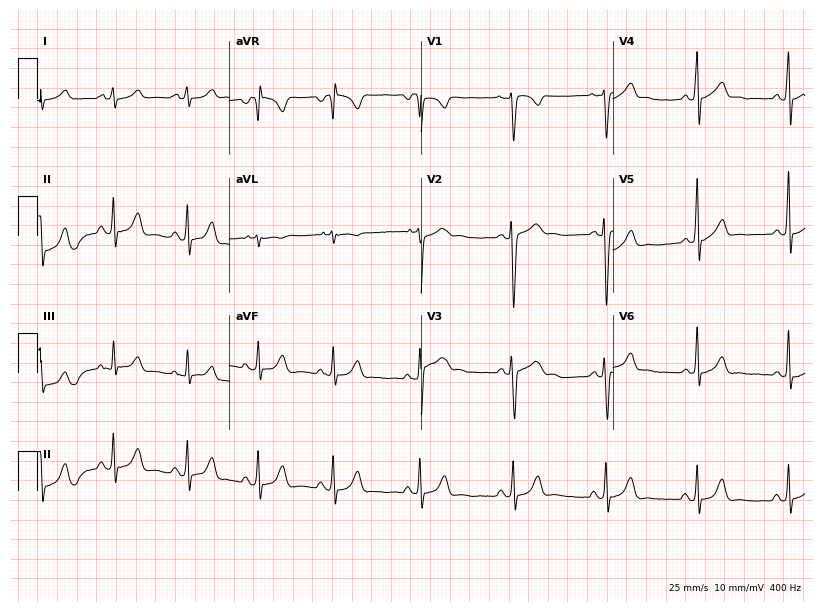
ECG (7.8-second recording at 400 Hz) — a 25-year-old male. Screened for six findings — first-degree AV block, right bundle branch block, left bundle branch block, sinus bradycardia, atrial fibrillation, sinus tachycardia — none is recorded. Only these six findings were labelled.